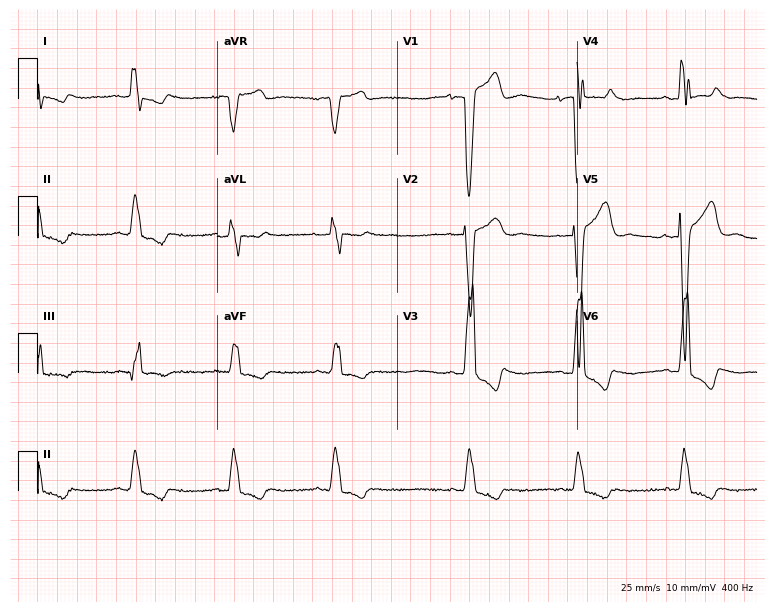
ECG — a man, 79 years old. Findings include left bundle branch block.